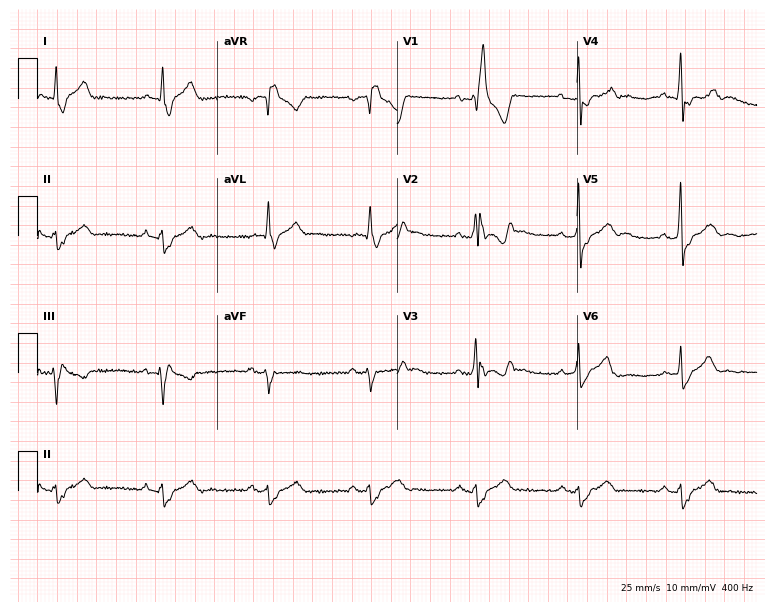
Resting 12-lead electrocardiogram. Patient: a 48-year-old male. The tracing shows right bundle branch block.